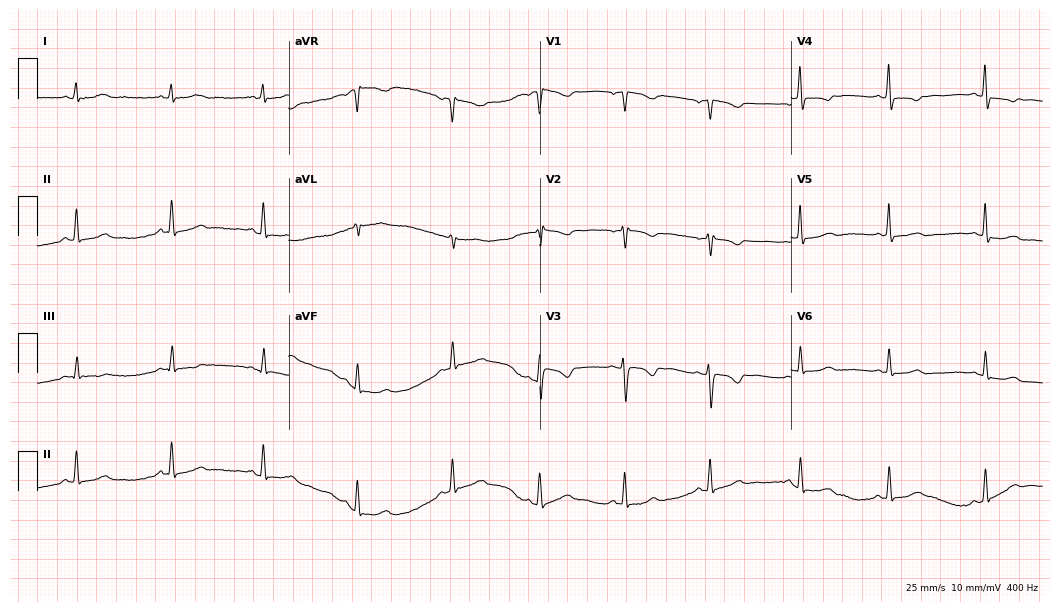
12-lead ECG from a 30-year-old female patient (10.2-second recording at 400 Hz). No first-degree AV block, right bundle branch block, left bundle branch block, sinus bradycardia, atrial fibrillation or sinus tachycardia recorded for this tracing.